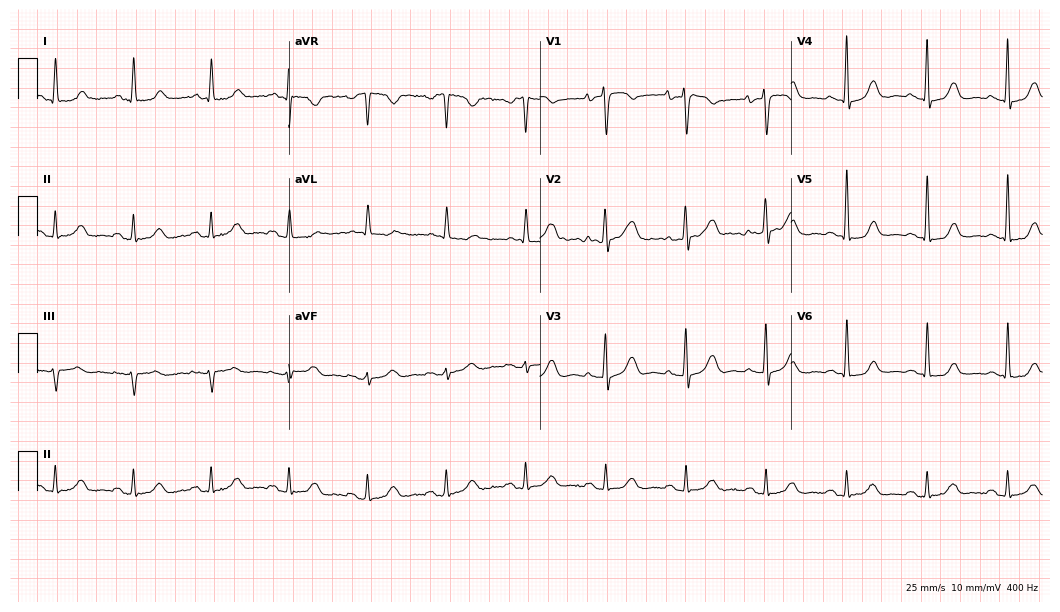
Standard 12-lead ECG recorded from a male, 81 years old (10.2-second recording at 400 Hz). None of these six findings is recorded: first-degree AV block, right bundle branch block, left bundle branch block, sinus bradycardia, atrial fibrillation, sinus tachycardia. Only these six findings were labelled.